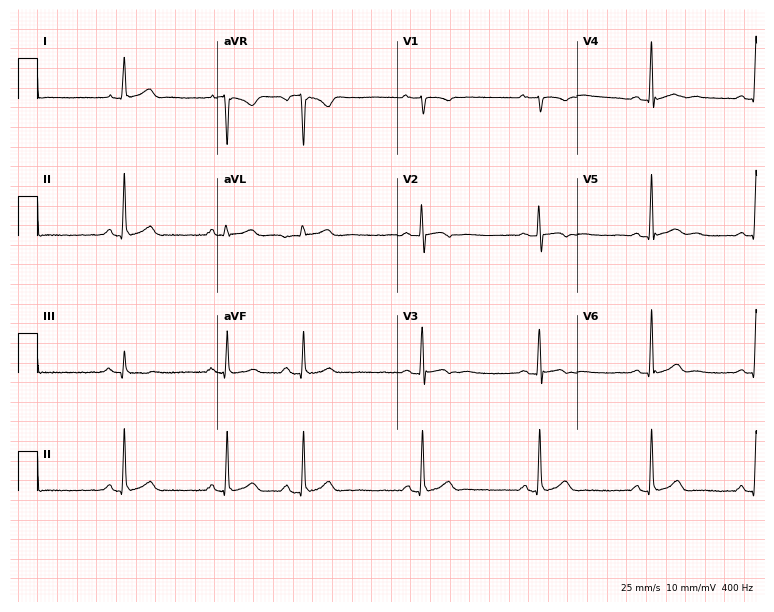
12-lead ECG (7.3-second recording at 400 Hz) from a female, 19 years old. Labelled as a normal ECG.